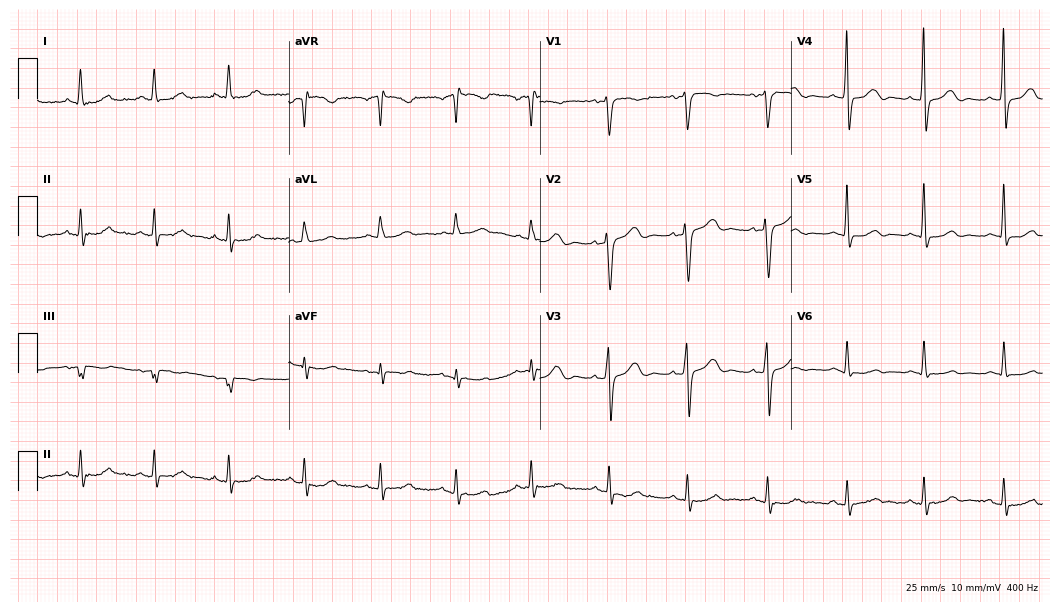
12-lead ECG from a 61-year-old female patient. No first-degree AV block, right bundle branch block, left bundle branch block, sinus bradycardia, atrial fibrillation or sinus tachycardia recorded for this tracing.